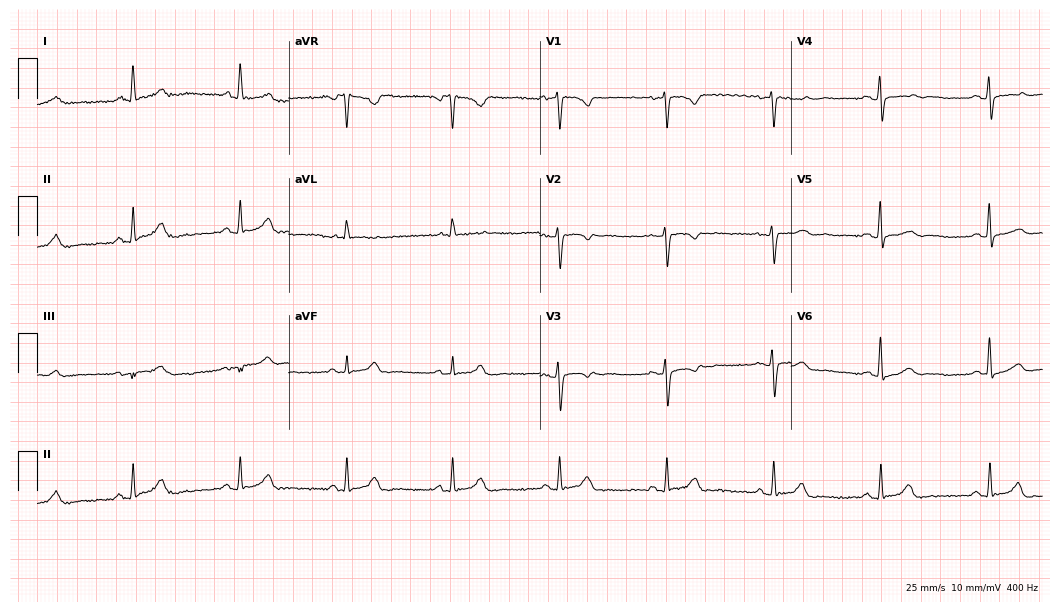
Standard 12-lead ECG recorded from a 49-year-old female (10.2-second recording at 400 Hz). Read as a normal ECG.